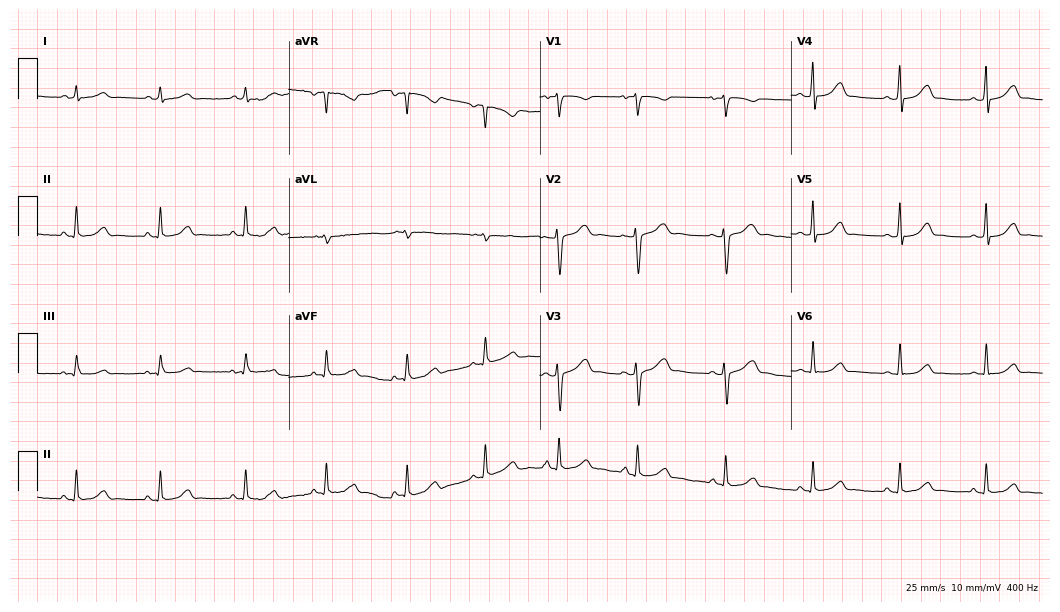
Resting 12-lead electrocardiogram. Patient: a 30-year-old female. Read as a normal ECG.